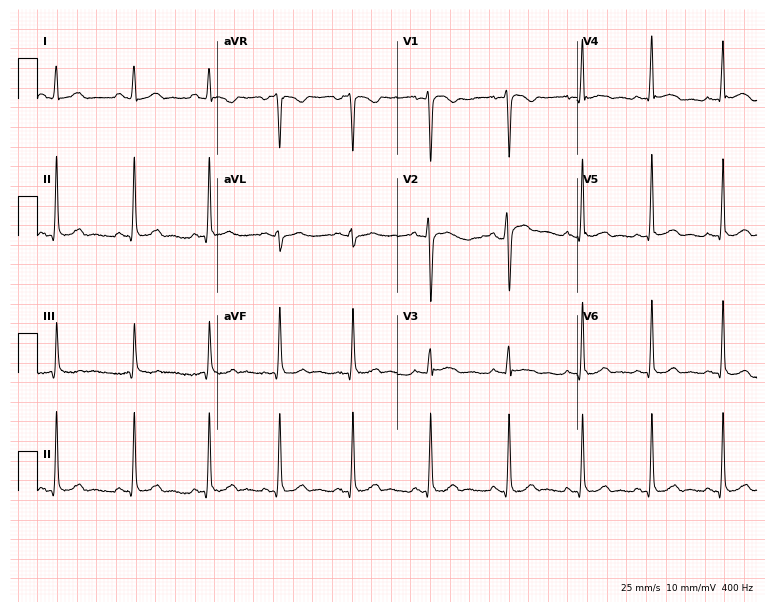
12-lead ECG (7.3-second recording at 400 Hz) from a woman, 30 years old. Labelled as a normal ECG.